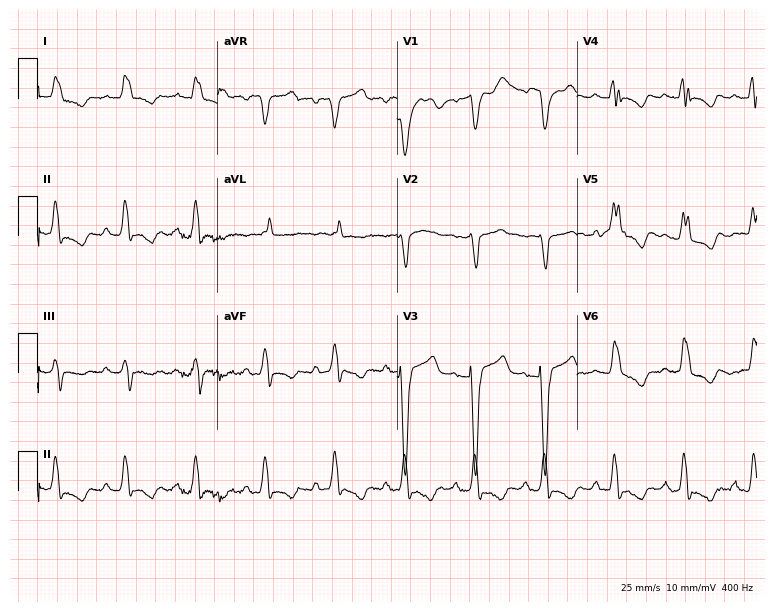
ECG (7.3-second recording at 400 Hz) — a woman, 77 years old. Findings include left bundle branch block.